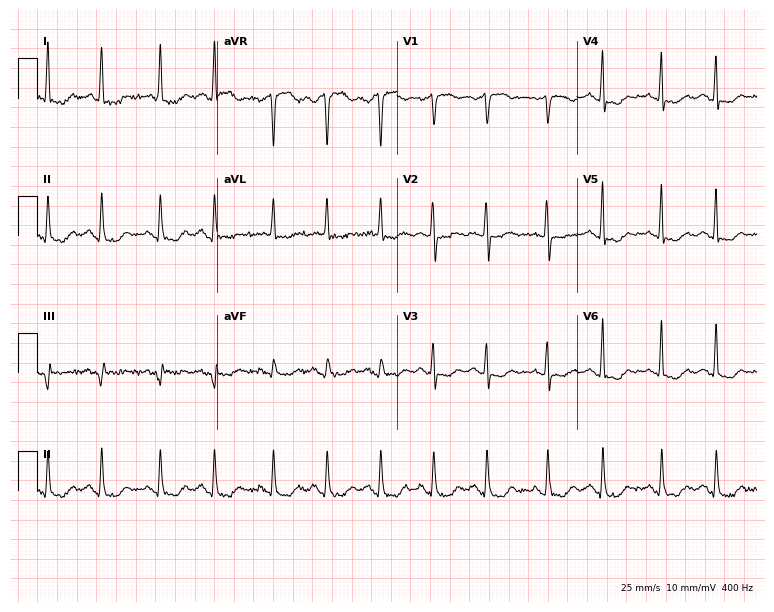
Electrocardiogram, a woman, 73 years old. Interpretation includes sinus tachycardia (a sinus rate of 100 beats per minute or more).